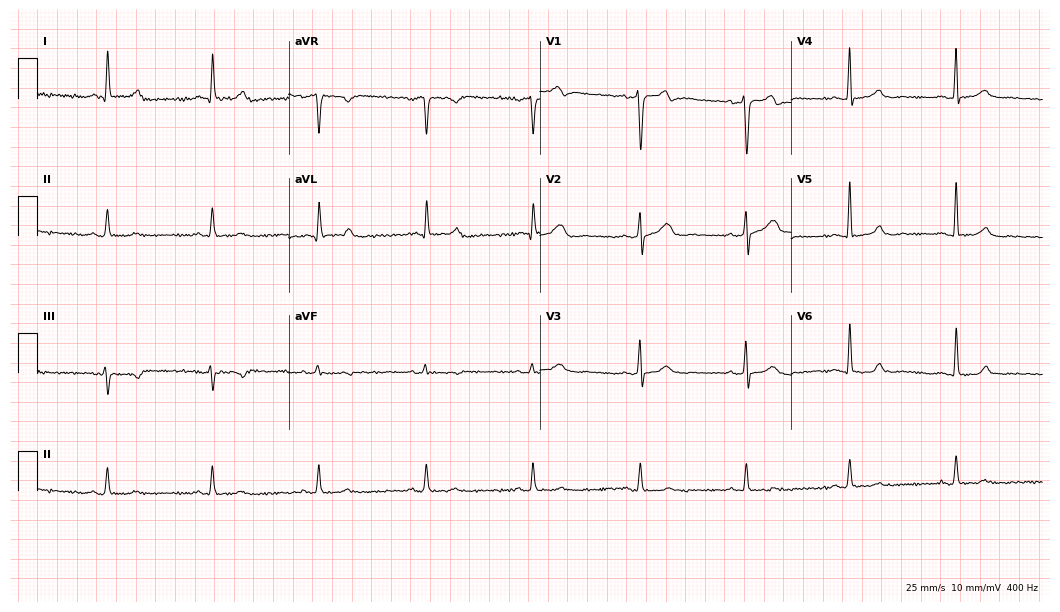
Standard 12-lead ECG recorded from a male, 61 years old. None of these six findings is recorded: first-degree AV block, right bundle branch block, left bundle branch block, sinus bradycardia, atrial fibrillation, sinus tachycardia.